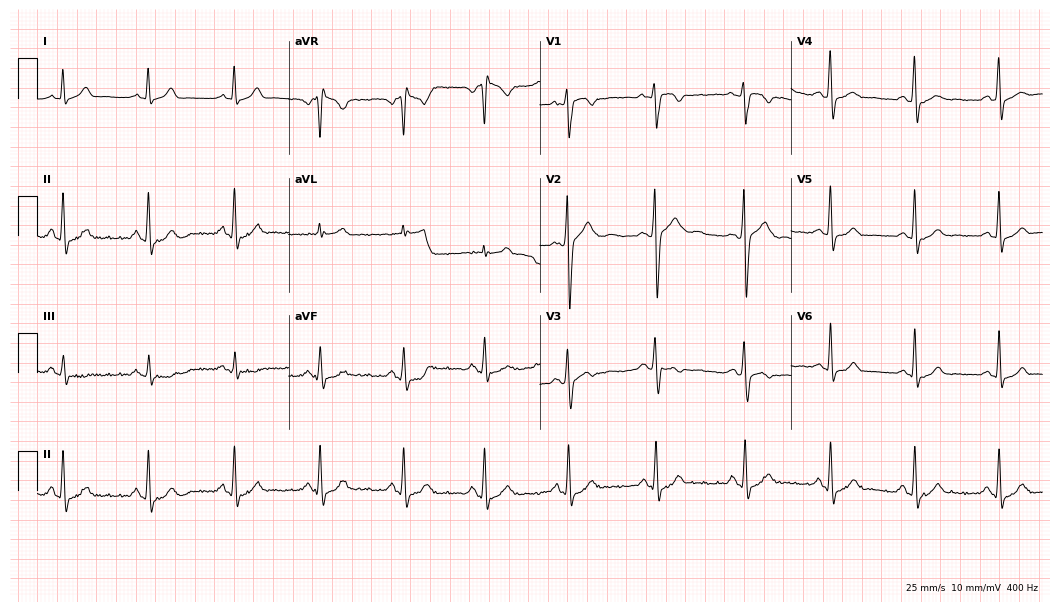
12-lead ECG (10.2-second recording at 400 Hz) from a man, 24 years old. Screened for six findings — first-degree AV block, right bundle branch block, left bundle branch block, sinus bradycardia, atrial fibrillation, sinus tachycardia — none is recorded.